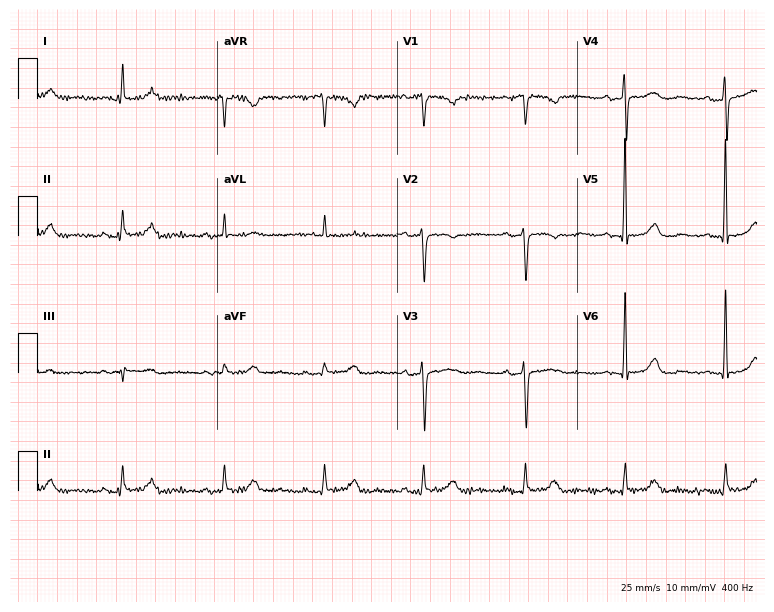
Electrocardiogram (7.3-second recording at 400 Hz), an 83-year-old female patient. Of the six screened findings (first-degree AV block, right bundle branch block, left bundle branch block, sinus bradycardia, atrial fibrillation, sinus tachycardia), none is recorded.